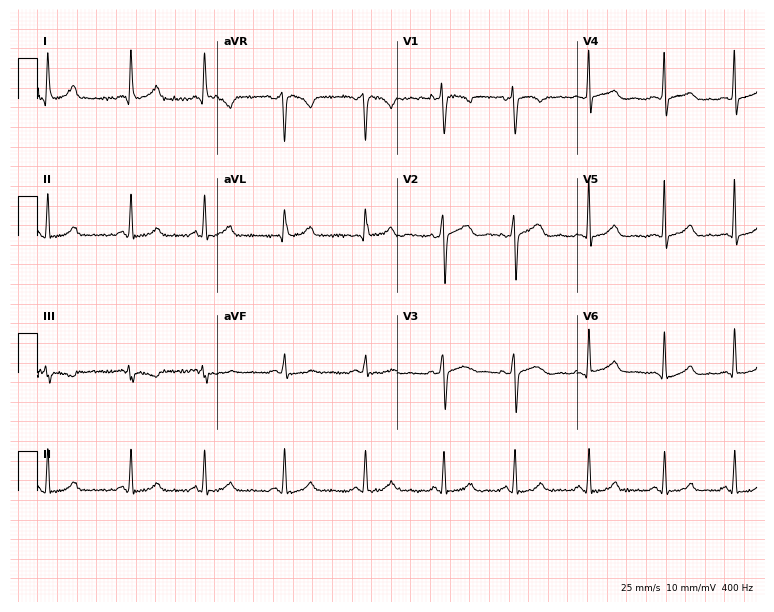
Standard 12-lead ECG recorded from a 27-year-old female (7.3-second recording at 400 Hz). Read as a normal ECG.